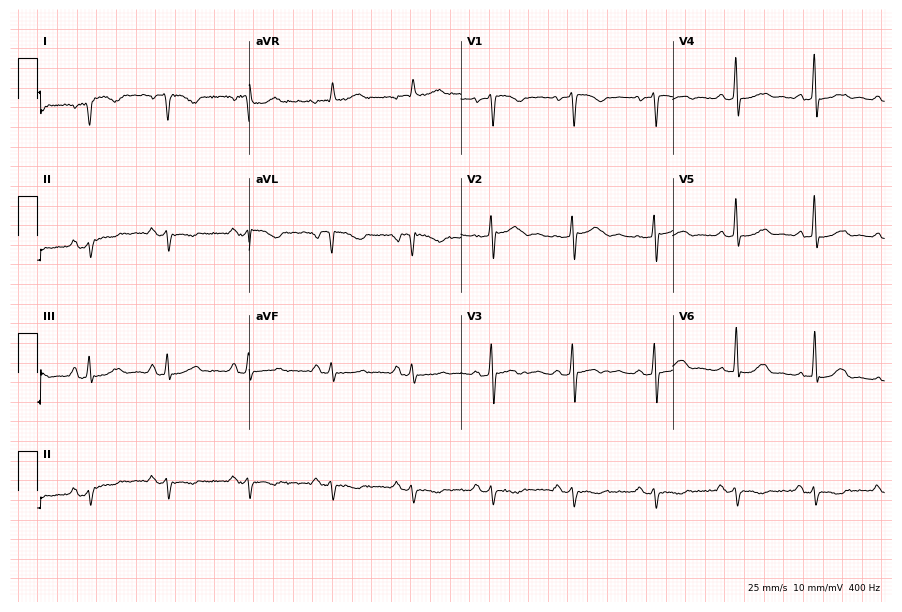
Electrocardiogram, a woman, 75 years old. Of the six screened findings (first-degree AV block, right bundle branch block, left bundle branch block, sinus bradycardia, atrial fibrillation, sinus tachycardia), none is recorded. Findings outside these six are not listed.